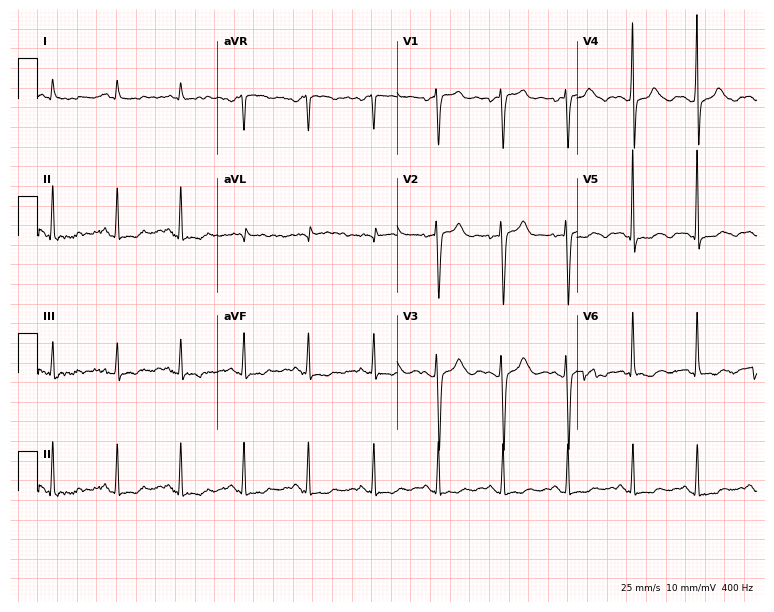
Electrocardiogram, a female, 66 years old. Of the six screened findings (first-degree AV block, right bundle branch block, left bundle branch block, sinus bradycardia, atrial fibrillation, sinus tachycardia), none is recorded.